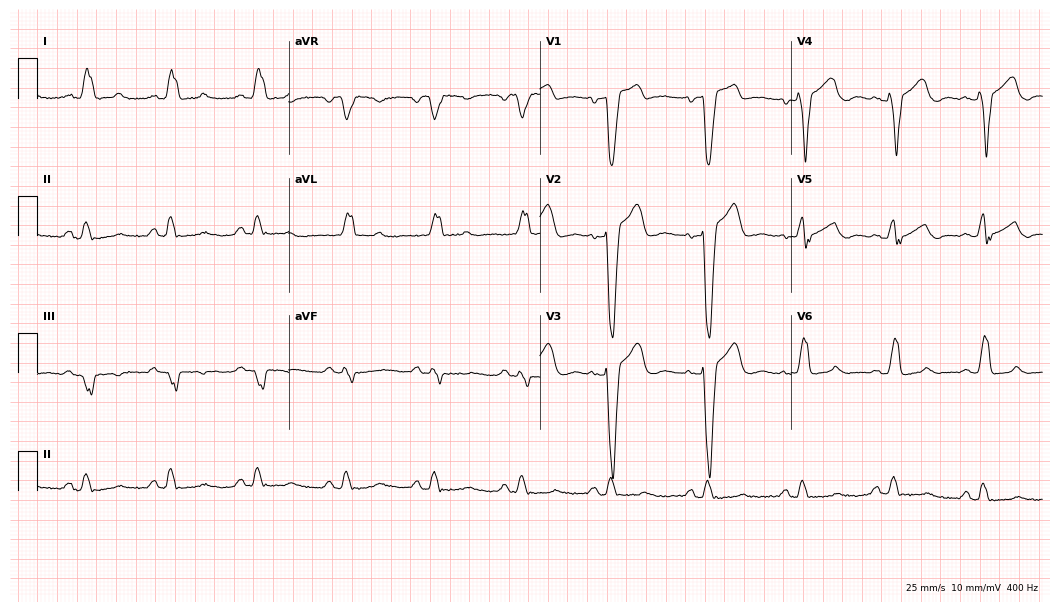
Electrocardiogram (10.2-second recording at 400 Hz), a male patient, 55 years old. Interpretation includes left bundle branch block (LBBB).